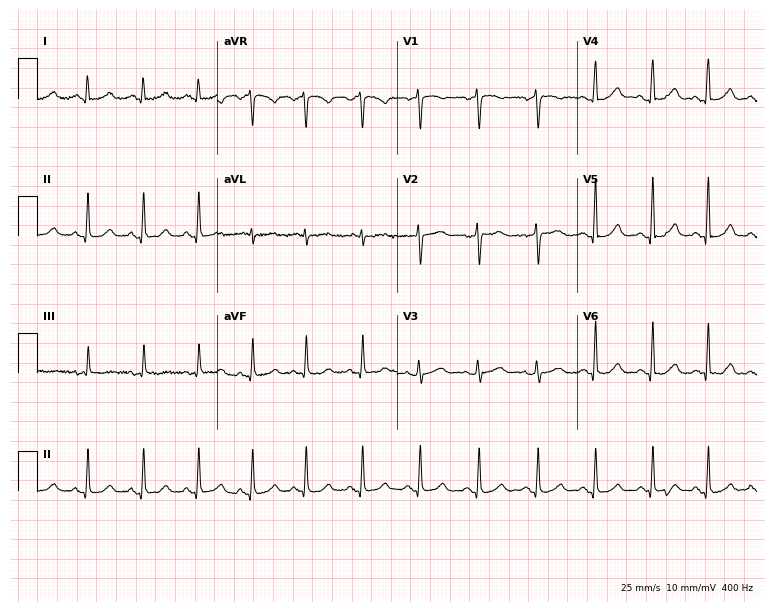
Resting 12-lead electrocardiogram (7.3-second recording at 400 Hz). Patient: a 48-year-old female. Read as a normal ECG.